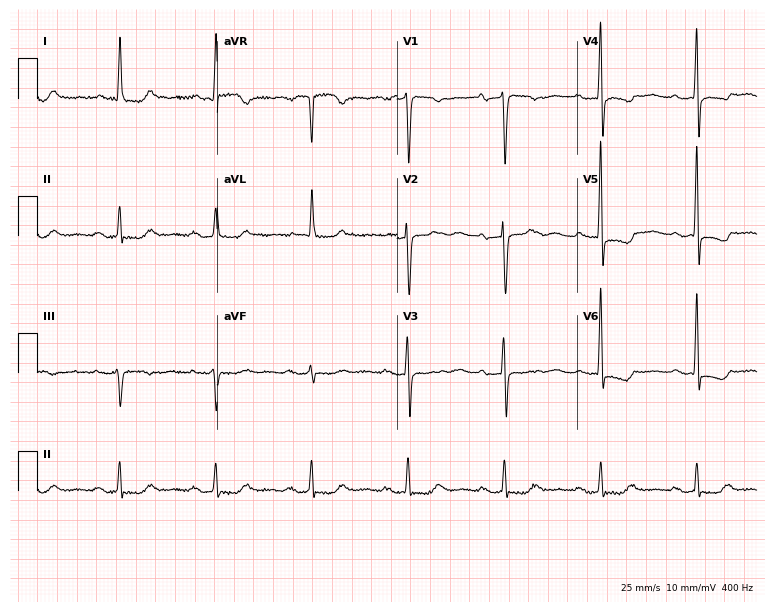
12-lead ECG (7.3-second recording at 400 Hz) from an 84-year-old female. Screened for six findings — first-degree AV block, right bundle branch block (RBBB), left bundle branch block (LBBB), sinus bradycardia, atrial fibrillation (AF), sinus tachycardia — none is recorded. Only these six findings were labelled.